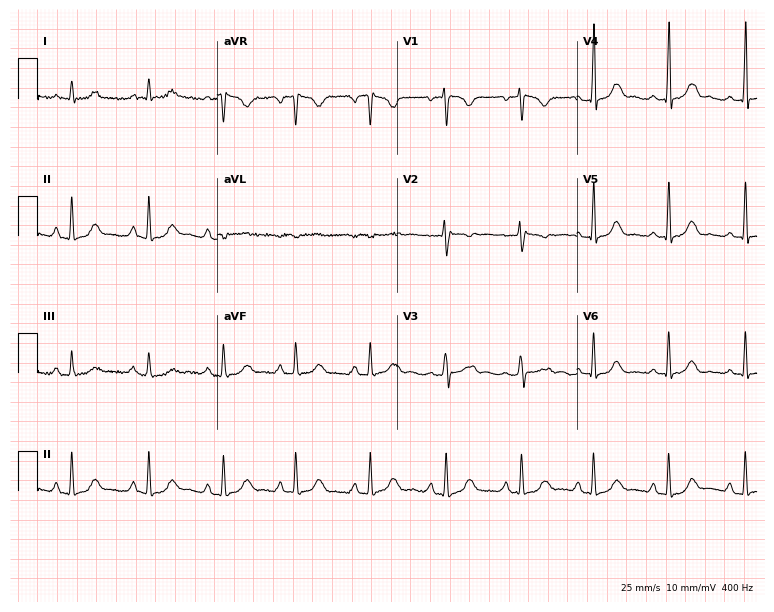
Resting 12-lead electrocardiogram (7.3-second recording at 400 Hz). Patient: a 33-year-old woman. None of these six findings is recorded: first-degree AV block, right bundle branch block, left bundle branch block, sinus bradycardia, atrial fibrillation, sinus tachycardia.